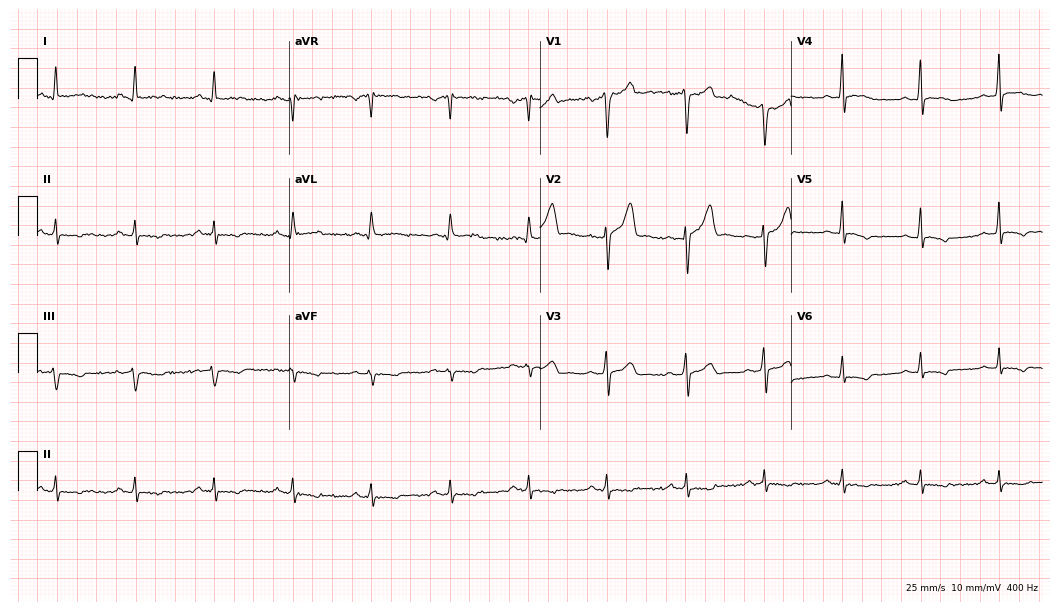
Standard 12-lead ECG recorded from a 55-year-old male patient (10.2-second recording at 400 Hz). None of these six findings is recorded: first-degree AV block, right bundle branch block, left bundle branch block, sinus bradycardia, atrial fibrillation, sinus tachycardia.